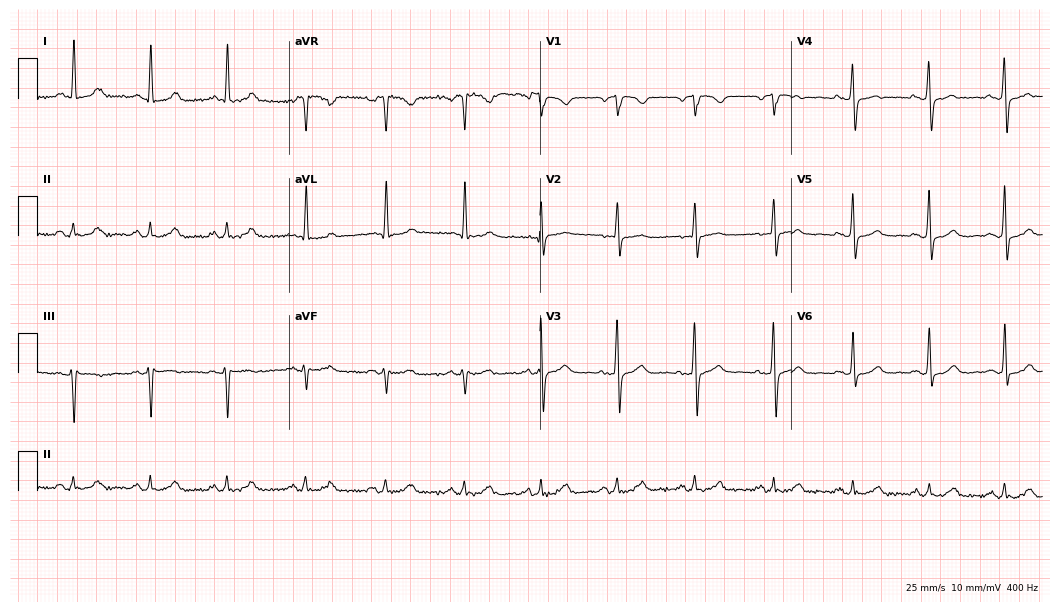
12-lead ECG from a female patient, 51 years old. Labelled as a normal ECG.